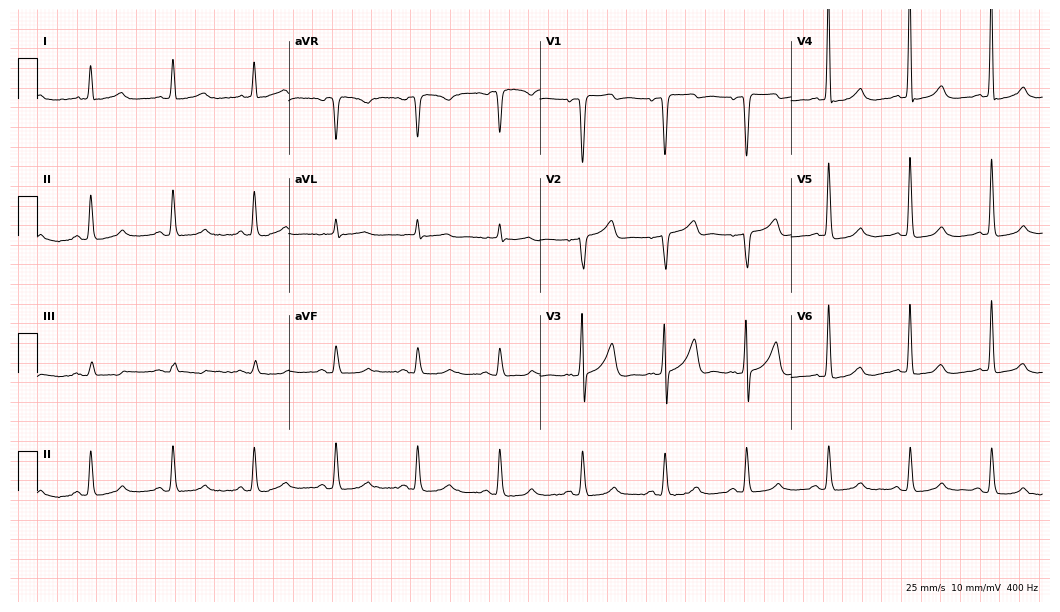
Electrocardiogram (10.2-second recording at 400 Hz), an 80-year-old female patient. Of the six screened findings (first-degree AV block, right bundle branch block, left bundle branch block, sinus bradycardia, atrial fibrillation, sinus tachycardia), none is recorded.